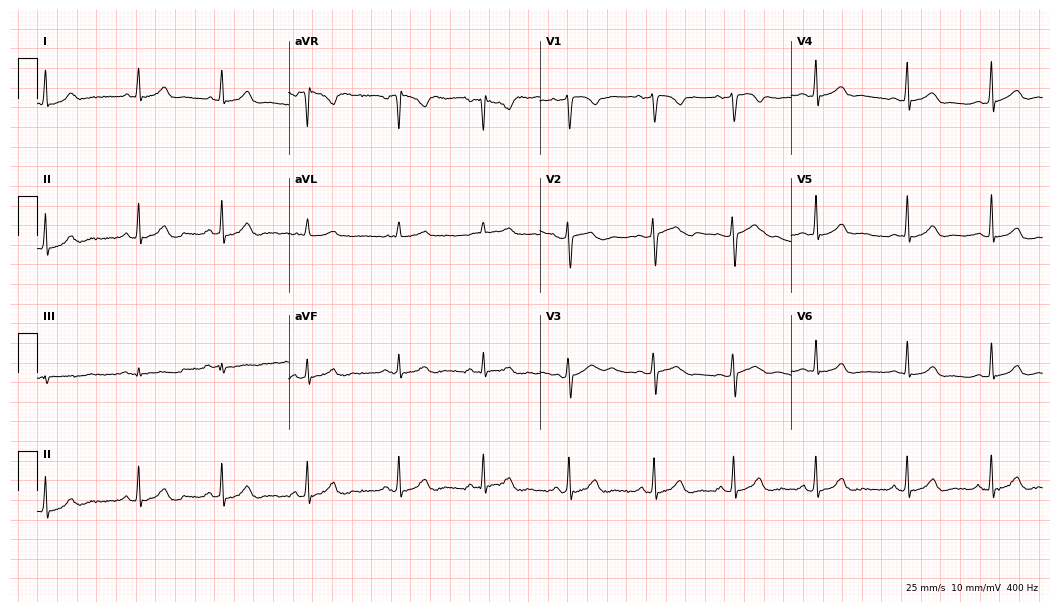
Electrocardiogram (10.2-second recording at 400 Hz), a female, 22 years old. Of the six screened findings (first-degree AV block, right bundle branch block, left bundle branch block, sinus bradycardia, atrial fibrillation, sinus tachycardia), none is recorded. Findings outside these six are not listed.